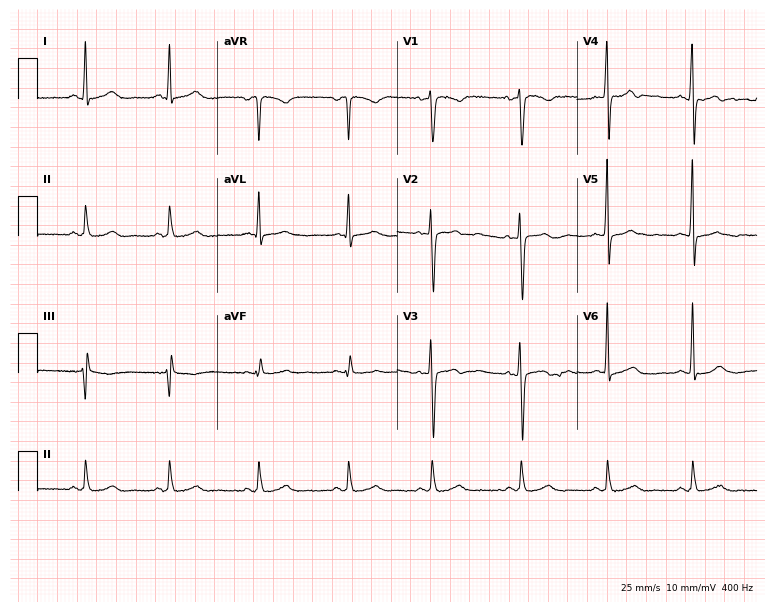
12-lead ECG from a woman, 30 years old (7.3-second recording at 400 Hz). No first-degree AV block, right bundle branch block, left bundle branch block, sinus bradycardia, atrial fibrillation or sinus tachycardia recorded for this tracing. Findings outside these six are not listed.